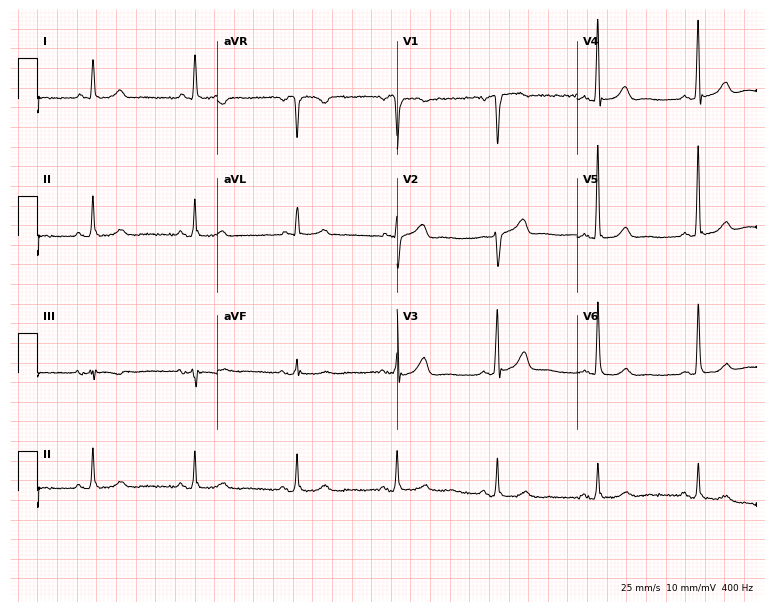
Resting 12-lead electrocardiogram. Patient: a male, 57 years old. Read as a normal ECG.